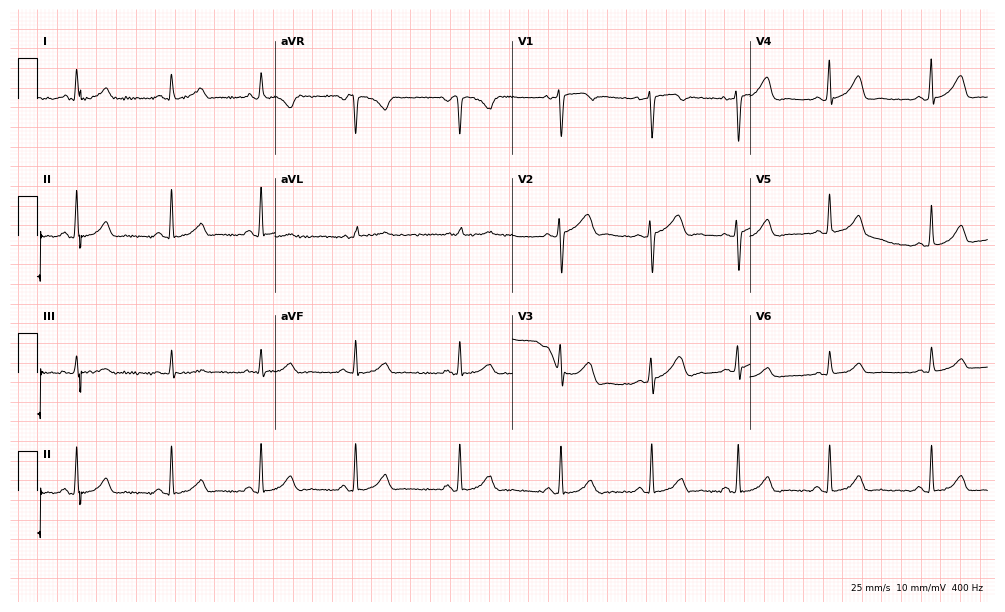
Electrocardiogram, a 38-year-old woman. Overall reading on record: normal ECG.